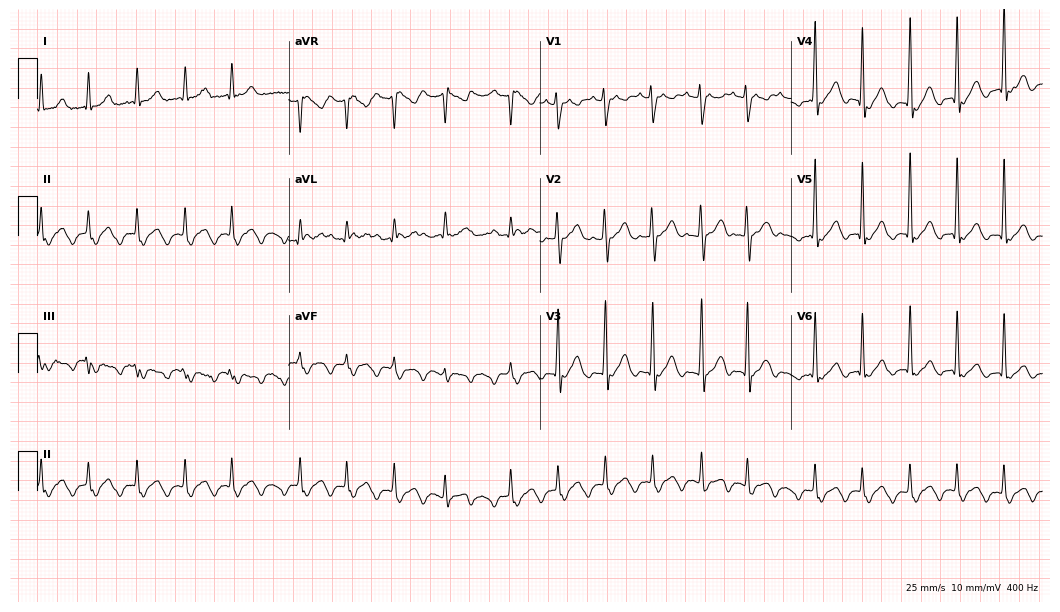
Standard 12-lead ECG recorded from a male, 67 years old (10.2-second recording at 400 Hz). None of these six findings is recorded: first-degree AV block, right bundle branch block (RBBB), left bundle branch block (LBBB), sinus bradycardia, atrial fibrillation (AF), sinus tachycardia. Only these six findings were labelled.